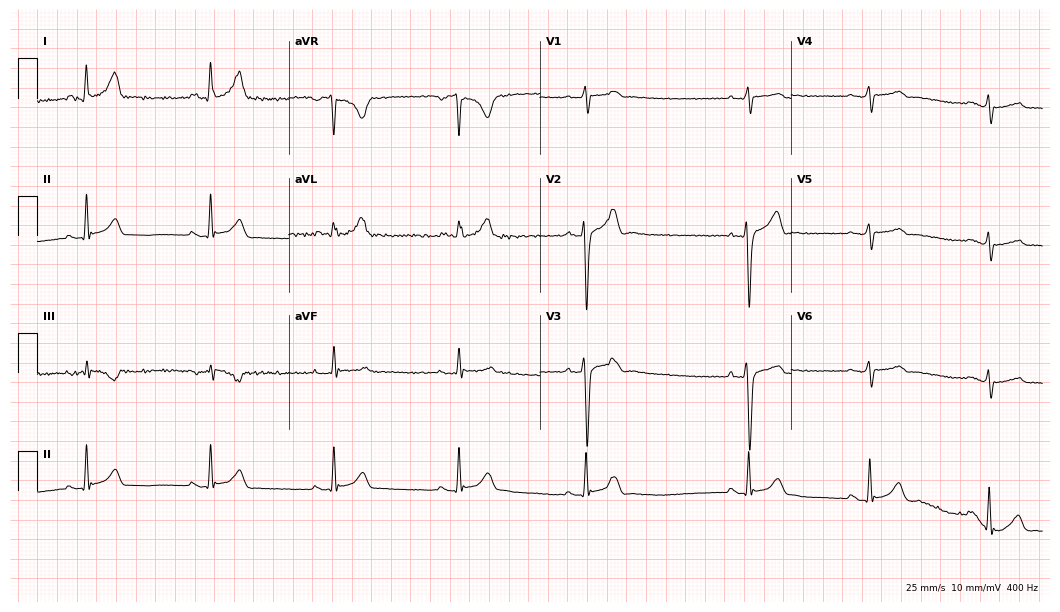
Standard 12-lead ECG recorded from a male, 26 years old. The tracing shows sinus bradycardia (a sinus rate of 50 beats per minute or less).